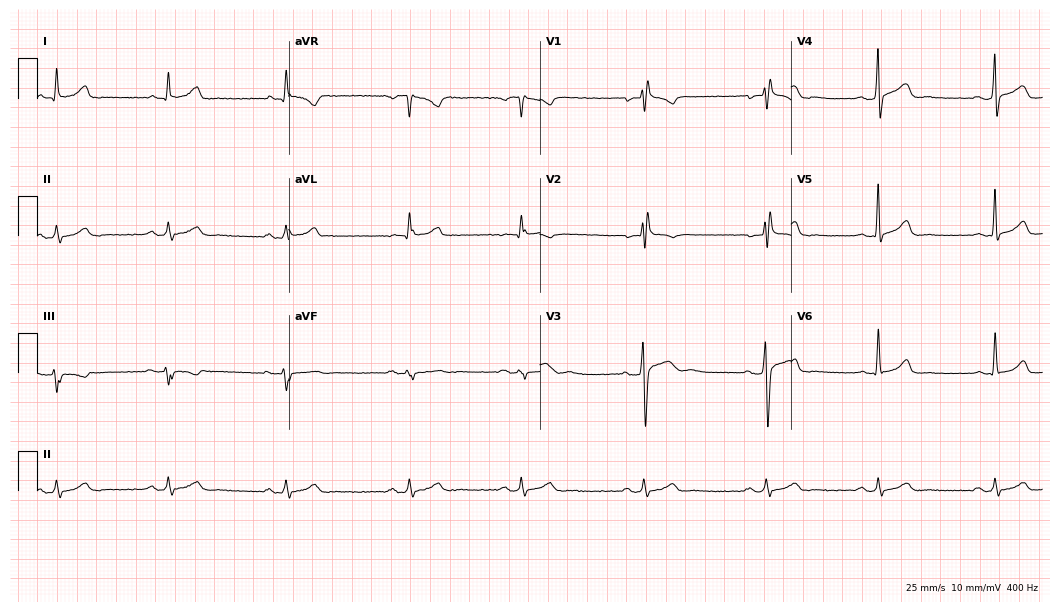
Resting 12-lead electrocardiogram (10.2-second recording at 400 Hz). Patient: a man, 33 years old. None of these six findings is recorded: first-degree AV block, right bundle branch block, left bundle branch block, sinus bradycardia, atrial fibrillation, sinus tachycardia. Only these six findings were labelled.